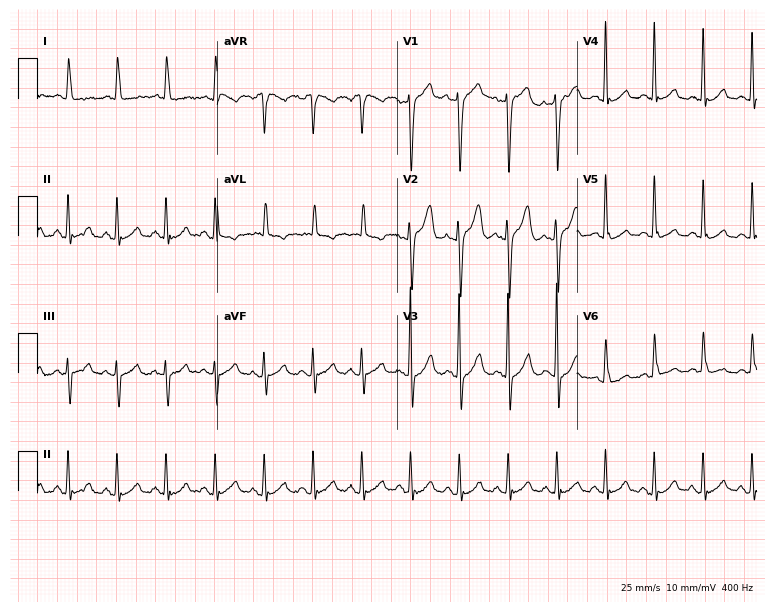
12-lead ECG from a 76-year-old female (7.3-second recording at 400 Hz). Shows sinus tachycardia (a sinus rate of 100 beats per minute or more).